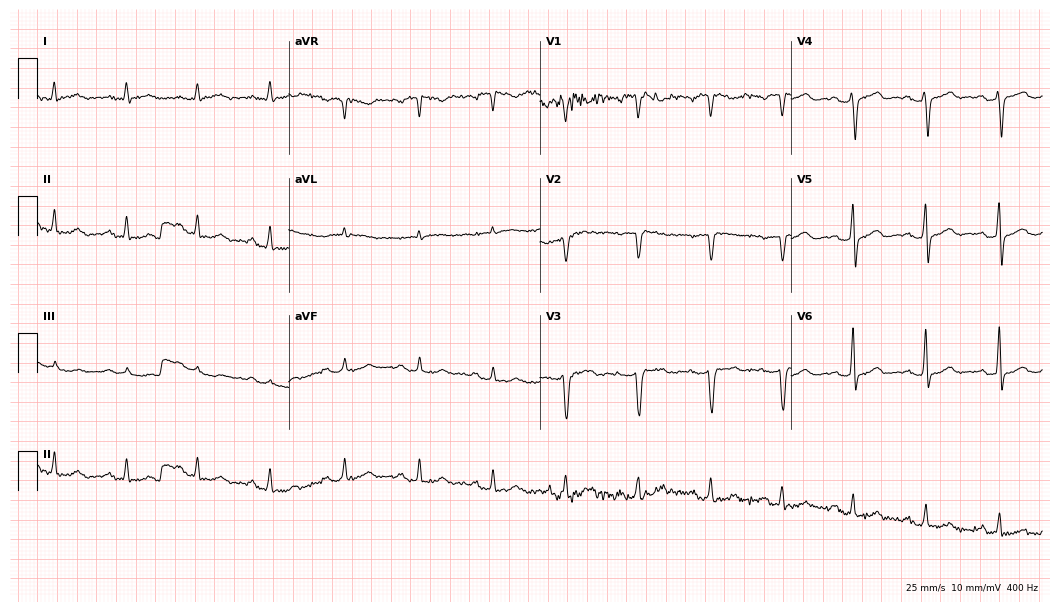
Electrocardiogram (10.2-second recording at 400 Hz), a female patient, 45 years old. Of the six screened findings (first-degree AV block, right bundle branch block, left bundle branch block, sinus bradycardia, atrial fibrillation, sinus tachycardia), none is recorded.